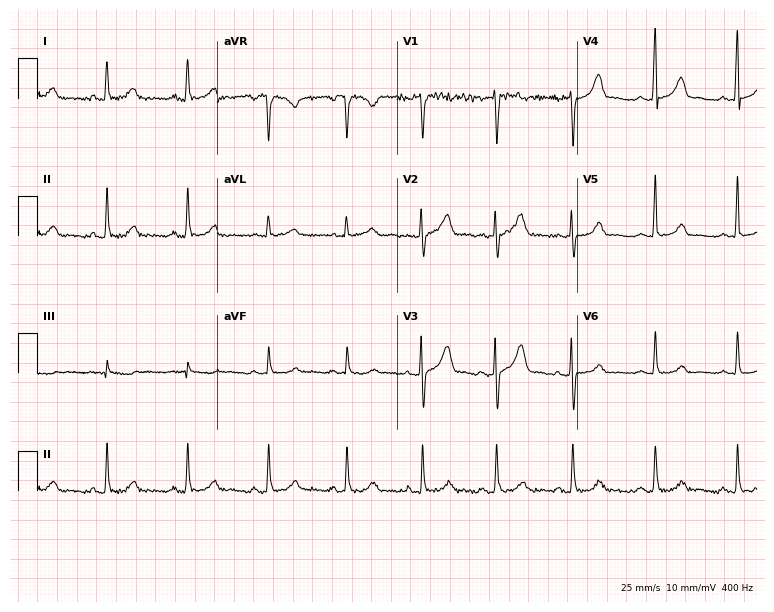
12-lead ECG from a 52-year-old female patient (7.3-second recording at 400 Hz). Recorded interpretation: within normal limits.